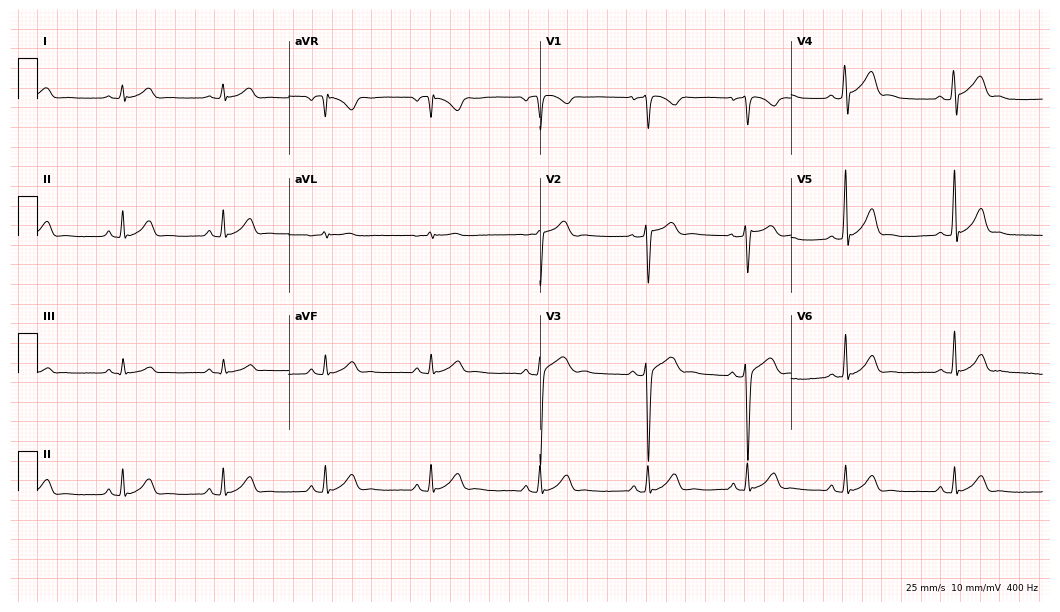
12-lead ECG from a male patient, 24 years old. Labelled as a normal ECG.